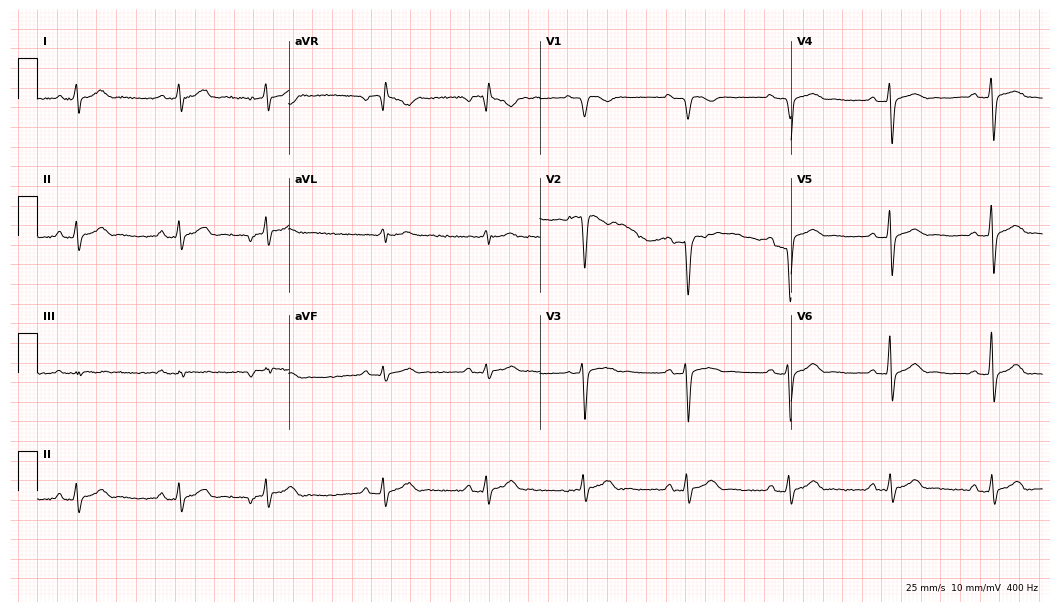
Electrocardiogram (10.2-second recording at 400 Hz), a 27-year-old male patient. Of the six screened findings (first-degree AV block, right bundle branch block, left bundle branch block, sinus bradycardia, atrial fibrillation, sinus tachycardia), none is recorded.